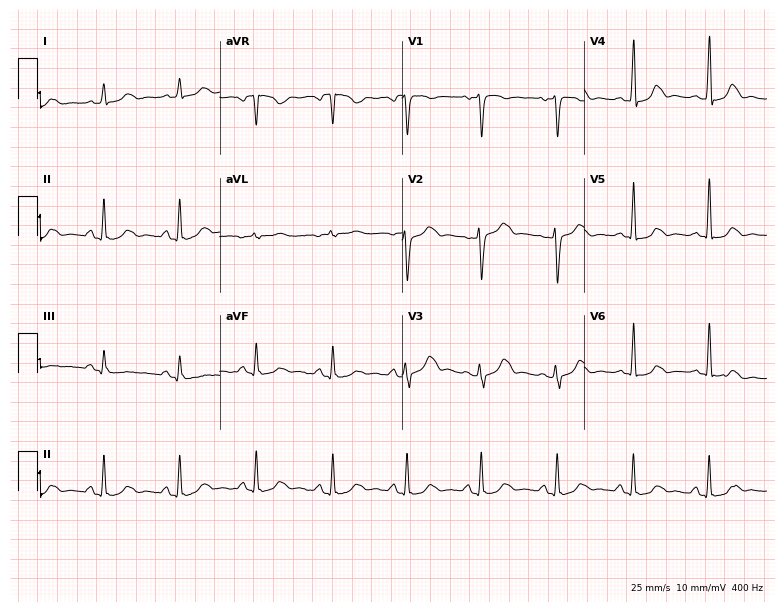
Electrocardiogram, a female, 50 years old. Of the six screened findings (first-degree AV block, right bundle branch block, left bundle branch block, sinus bradycardia, atrial fibrillation, sinus tachycardia), none is recorded. Other findings, if any, are not listed.